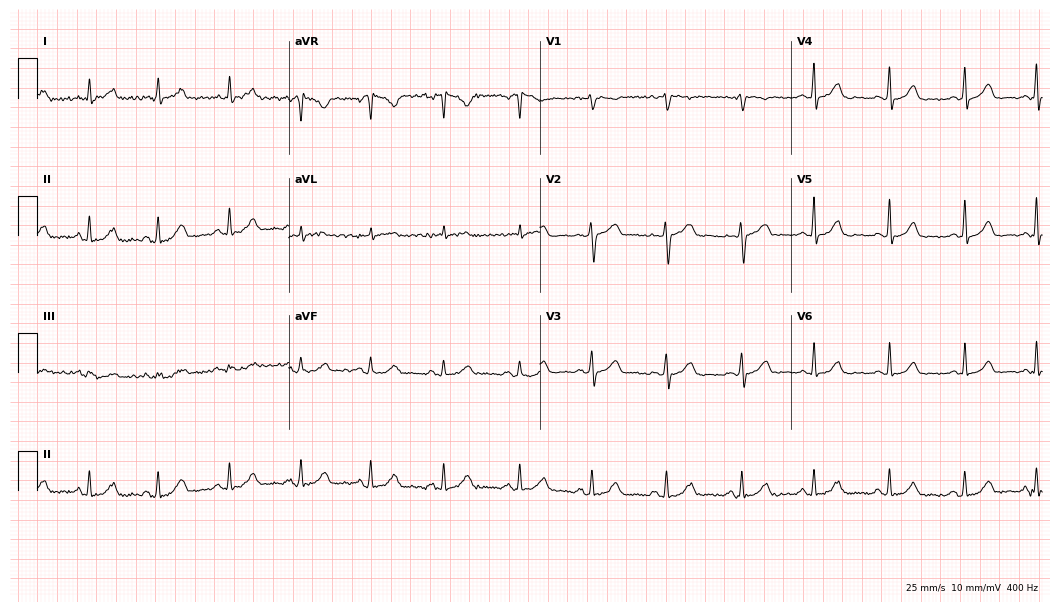
ECG (10.2-second recording at 400 Hz) — a 42-year-old female patient. Labelled as a normal ECG.